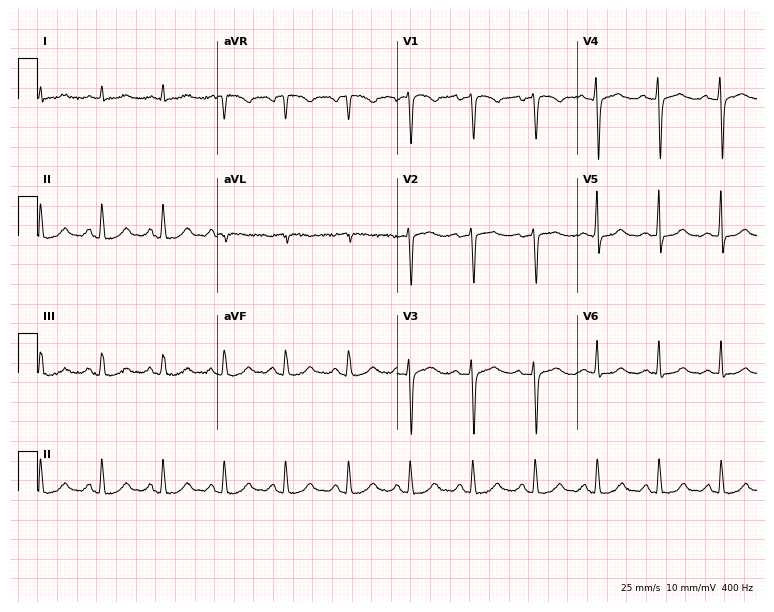
ECG — a woman, 75 years old. Labelled as a normal ECG.